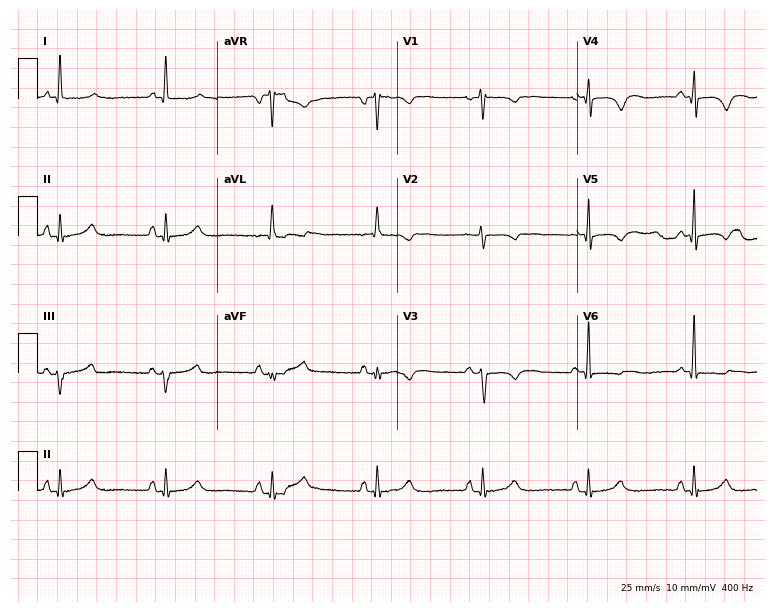
Resting 12-lead electrocardiogram. Patient: a female, 71 years old. None of these six findings is recorded: first-degree AV block, right bundle branch block, left bundle branch block, sinus bradycardia, atrial fibrillation, sinus tachycardia.